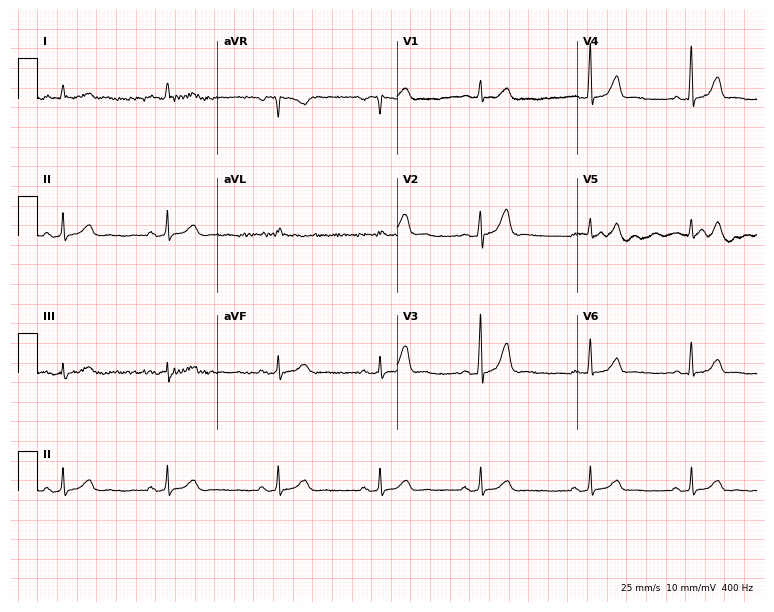
12-lead ECG (7.3-second recording at 400 Hz) from a female, 28 years old. Screened for six findings — first-degree AV block, right bundle branch block, left bundle branch block, sinus bradycardia, atrial fibrillation, sinus tachycardia — none is recorded.